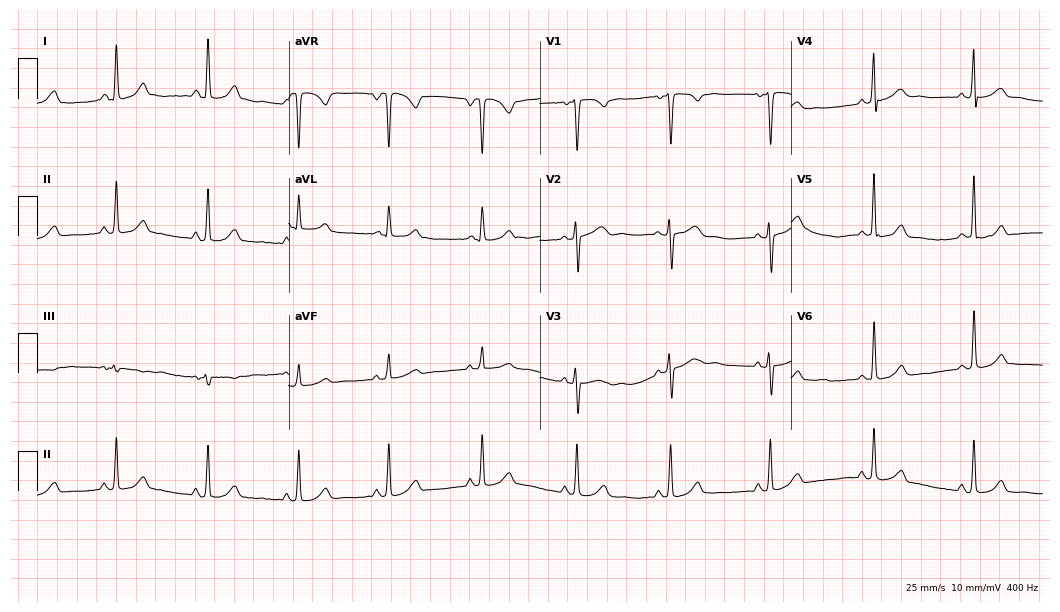
Standard 12-lead ECG recorded from a female, 26 years old (10.2-second recording at 400 Hz). Read as a normal ECG.